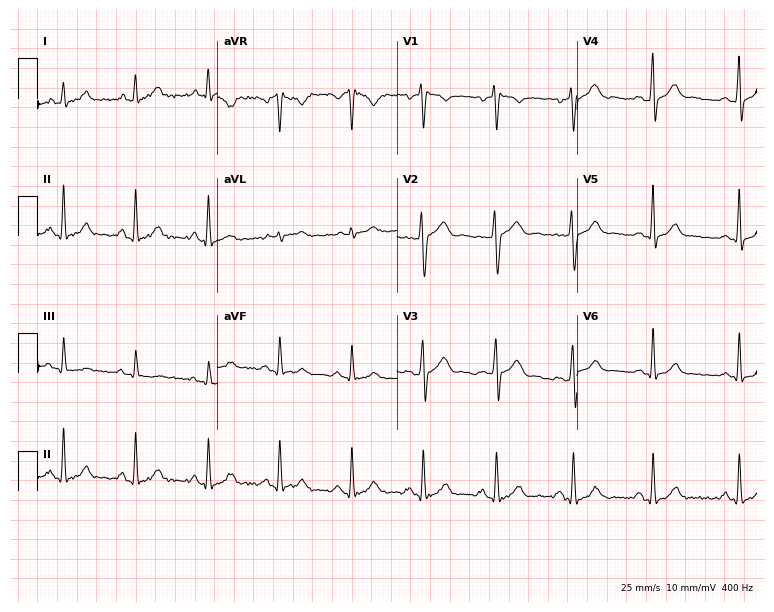
12-lead ECG from a 28-year-old man. No first-degree AV block, right bundle branch block (RBBB), left bundle branch block (LBBB), sinus bradycardia, atrial fibrillation (AF) or sinus tachycardia recorded for this tracing.